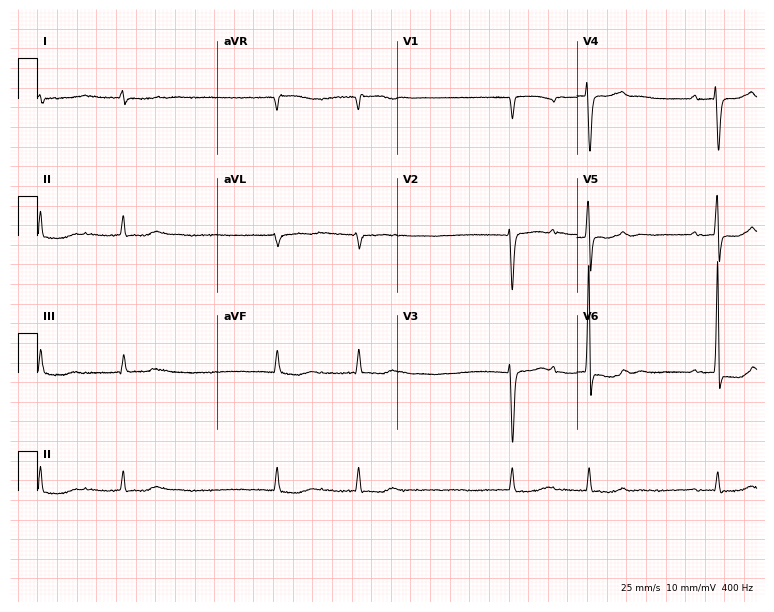
Standard 12-lead ECG recorded from a 79-year-old woman (7.3-second recording at 400 Hz). None of these six findings is recorded: first-degree AV block, right bundle branch block (RBBB), left bundle branch block (LBBB), sinus bradycardia, atrial fibrillation (AF), sinus tachycardia. Only these six findings were labelled.